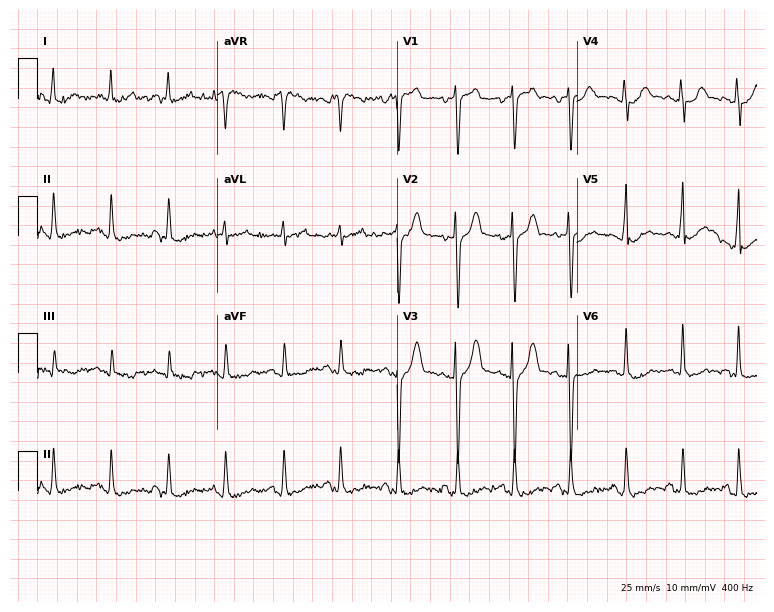
12-lead ECG from a male, 45 years old (7.3-second recording at 400 Hz). Recorded interpretation: within normal limits.